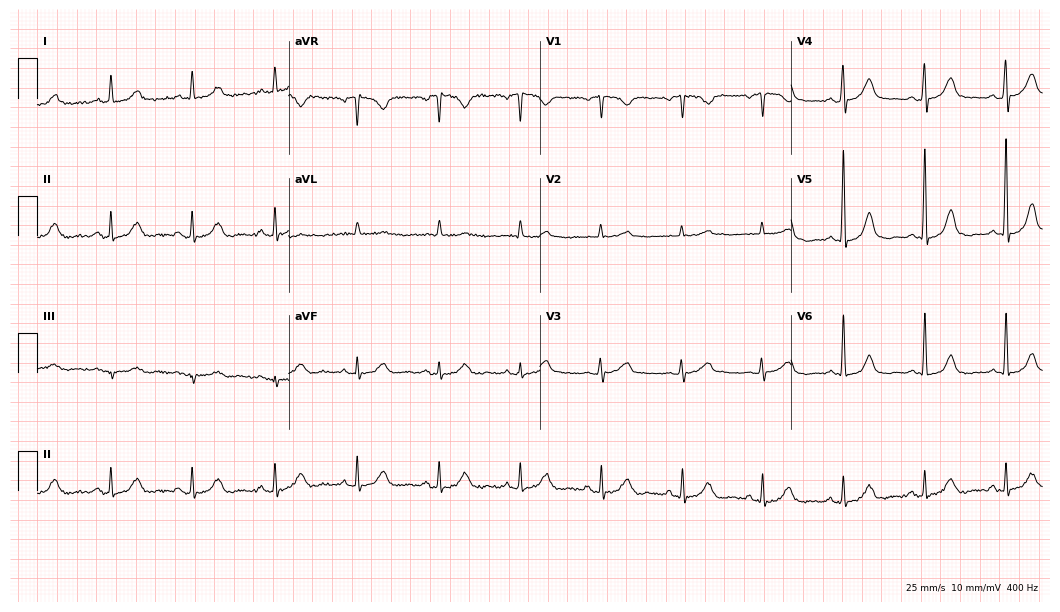
Resting 12-lead electrocardiogram (10.2-second recording at 400 Hz). Patient: a woman, 77 years old. Read as a normal ECG.